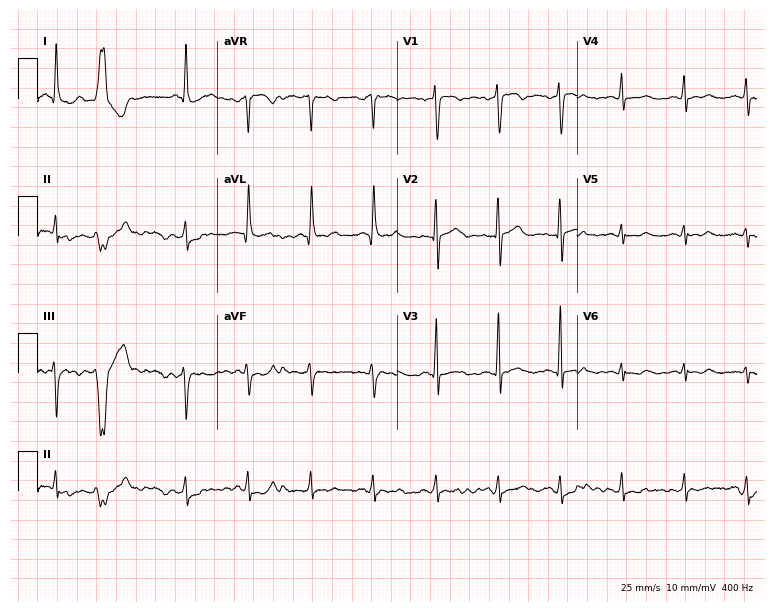
ECG (7.3-second recording at 400 Hz) — an 81-year-old female. Screened for six findings — first-degree AV block, right bundle branch block (RBBB), left bundle branch block (LBBB), sinus bradycardia, atrial fibrillation (AF), sinus tachycardia — none is recorded. Other findings, if any, are not listed.